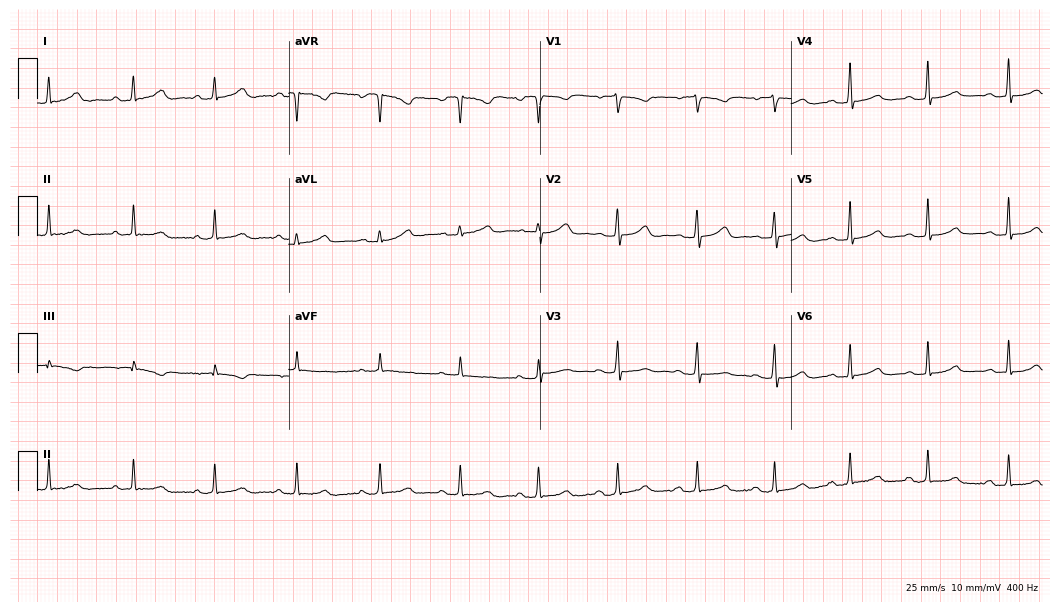
Electrocardiogram, a 39-year-old woman. Overall reading on record: normal ECG.